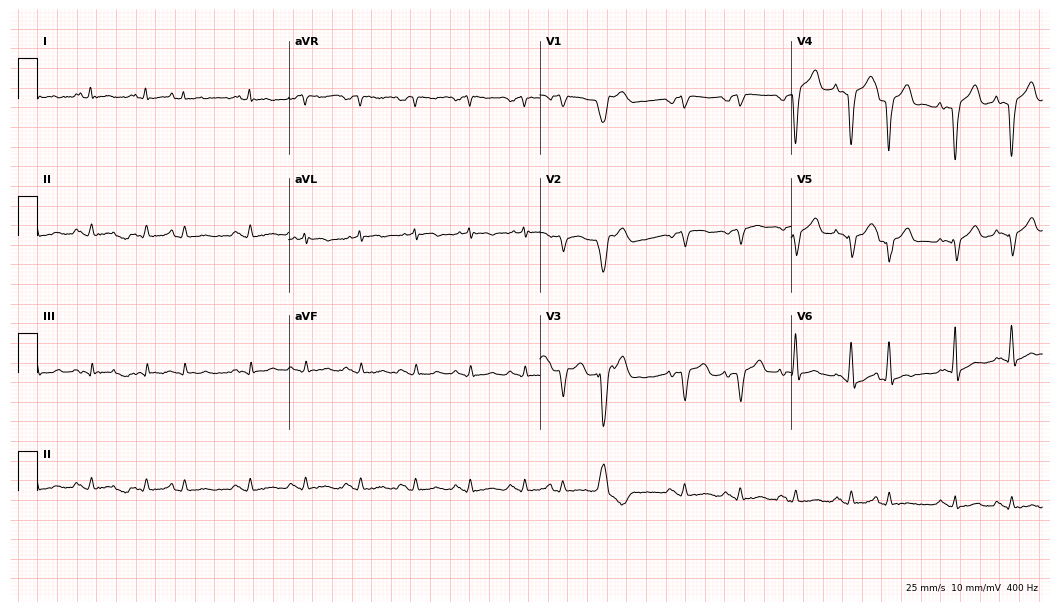
Electrocardiogram, a 78-year-old man. Of the six screened findings (first-degree AV block, right bundle branch block (RBBB), left bundle branch block (LBBB), sinus bradycardia, atrial fibrillation (AF), sinus tachycardia), none is recorded.